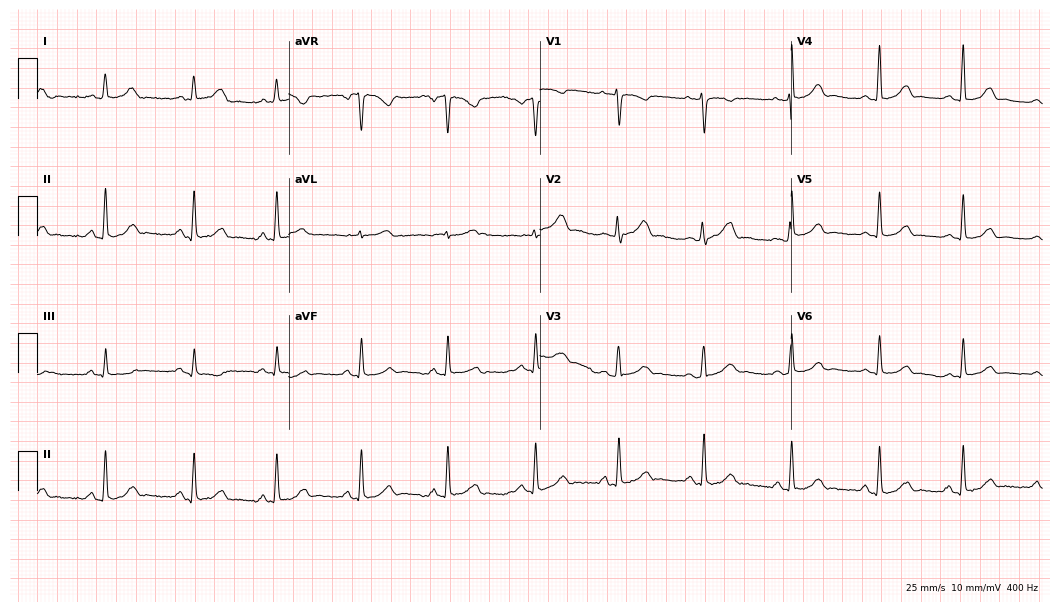
12-lead ECG from a female patient, 24 years old. Recorded interpretation: within normal limits.